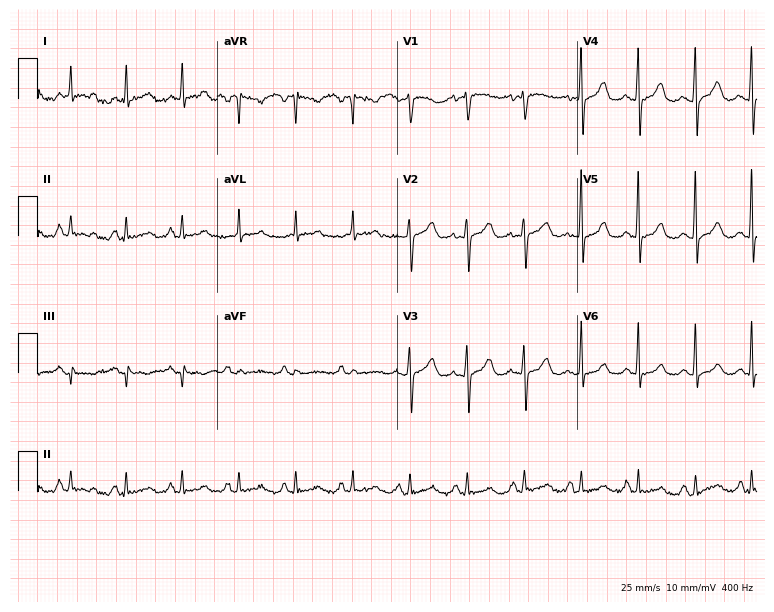
Resting 12-lead electrocardiogram (7.3-second recording at 400 Hz). Patient: a 67-year-old woman. The tracing shows sinus tachycardia (a sinus rate of 100 beats per minute or more).